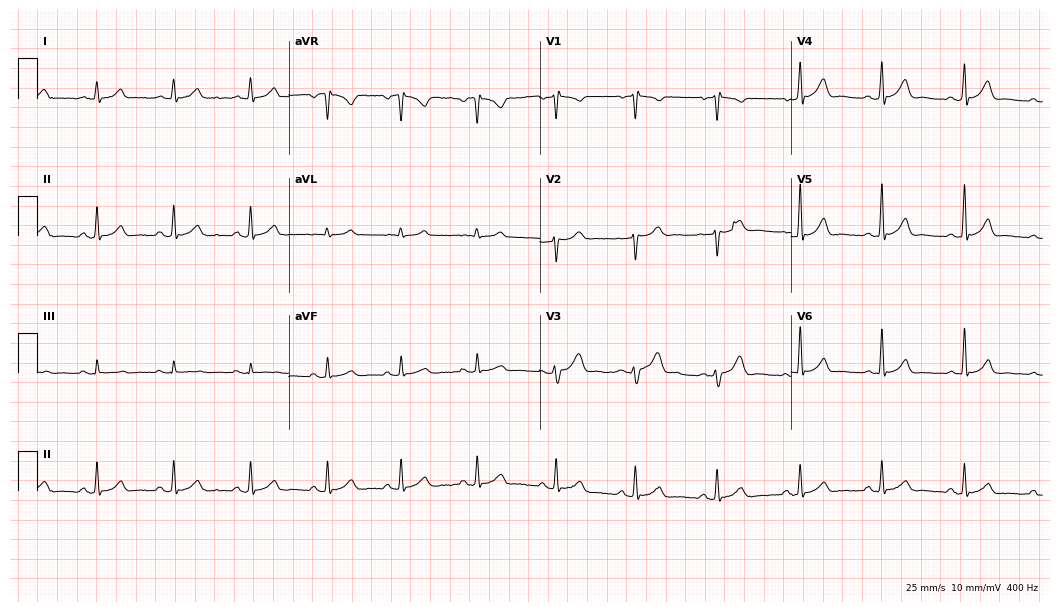
12-lead ECG from a man, 60 years old. Labelled as a normal ECG.